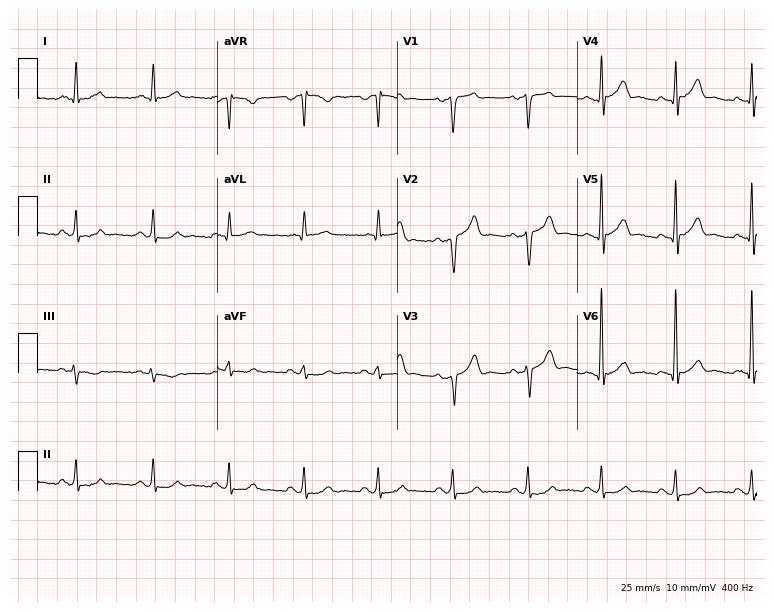
12-lead ECG from a man, 59 years old (7.3-second recording at 400 Hz). No first-degree AV block, right bundle branch block (RBBB), left bundle branch block (LBBB), sinus bradycardia, atrial fibrillation (AF) or sinus tachycardia recorded for this tracing.